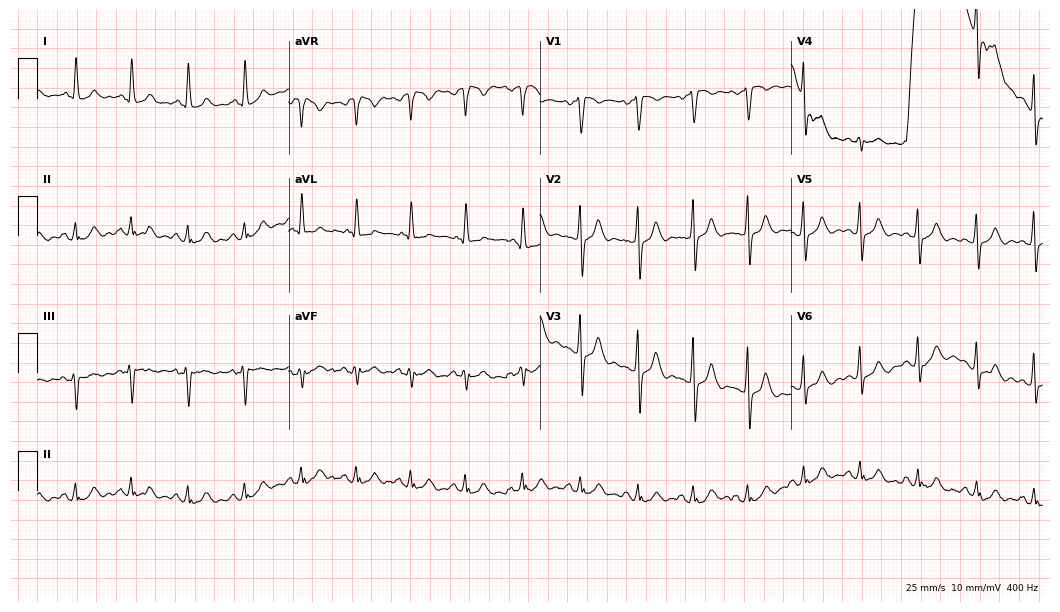
12-lead ECG (10.2-second recording at 400 Hz) from a woman, 45 years old. Findings include sinus tachycardia (a sinus rate of 100 beats per minute or more).